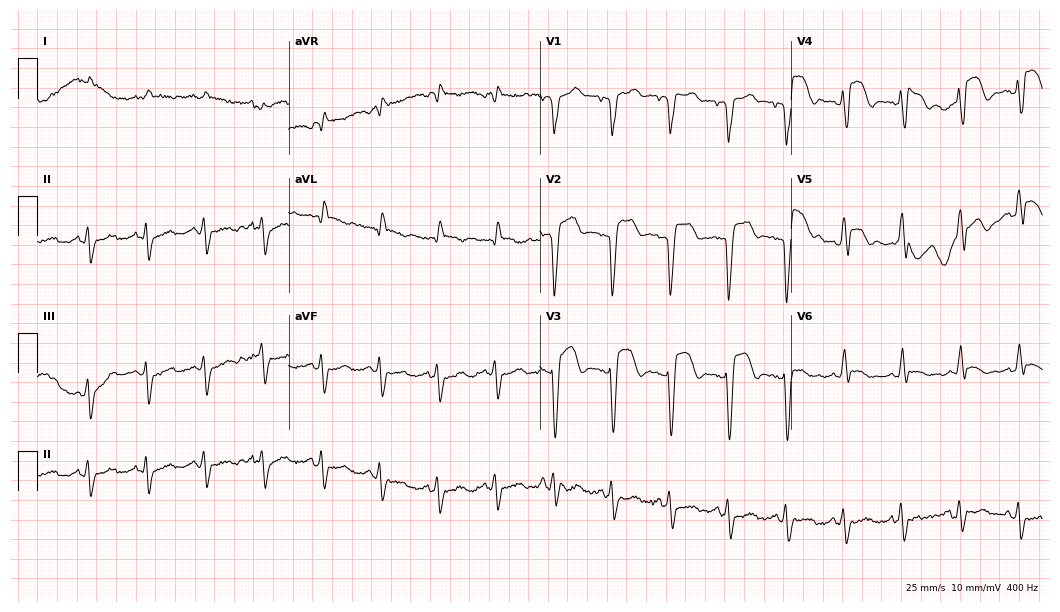
Electrocardiogram, a 78-year-old male. Of the six screened findings (first-degree AV block, right bundle branch block (RBBB), left bundle branch block (LBBB), sinus bradycardia, atrial fibrillation (AF), sinus tachycardia), none is recorded.